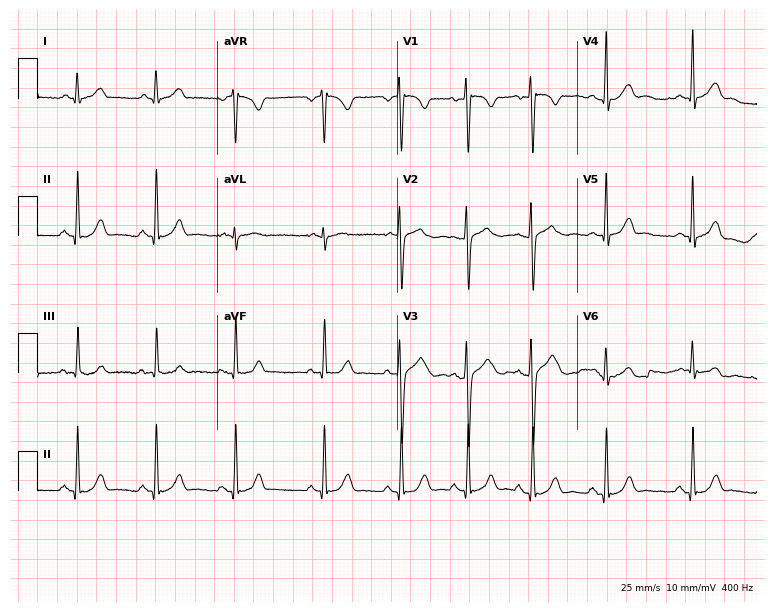
12-lead ECG from an 18-year-old female patient. Recorded interpretation: within normal limits.